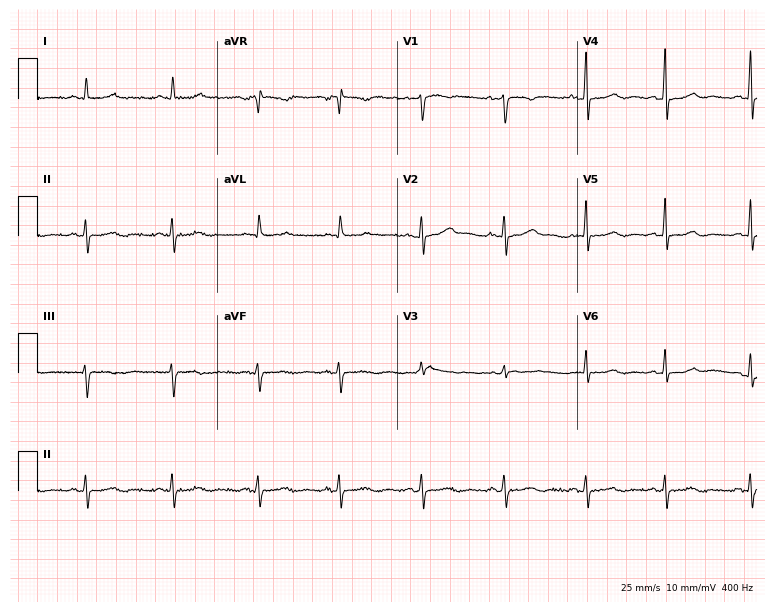
Electrocardiogram, a female patient, 42 years old. Of the six screened findings (first-degree AV block, right bundle branch block (RBBB), left bundle branch block (LBBB), sinus bradycardia, atrial fibrillation (AF), sinus tachycardia), none is recorded. Only these six findings were labelled.